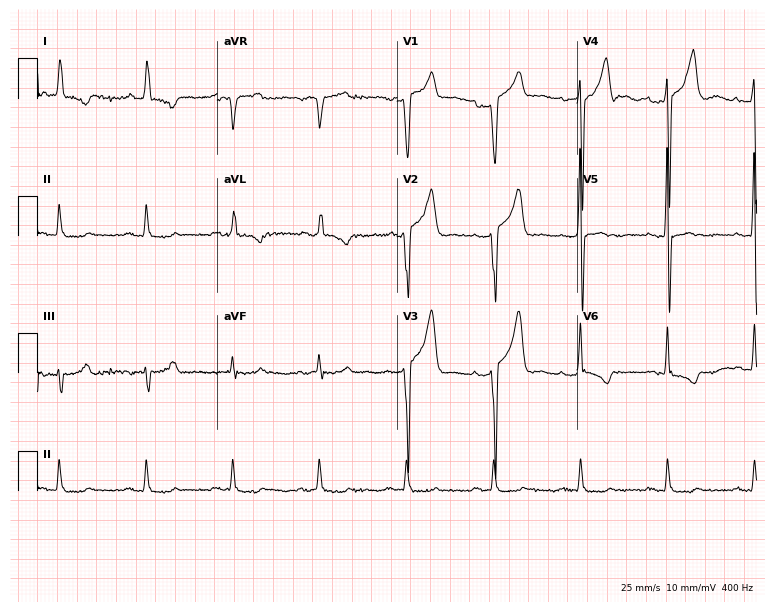
Standard 12-lead ECG recorded from a male patient, 64 years old (7.3-second recording at 400 Hz). None of these six findings is recorded: first-degree AV block, right bundle branch block, left bundle branch block, sinus bradycardia, atrial fibrillation, sinus tachycardia. Only these six findings were labelled.